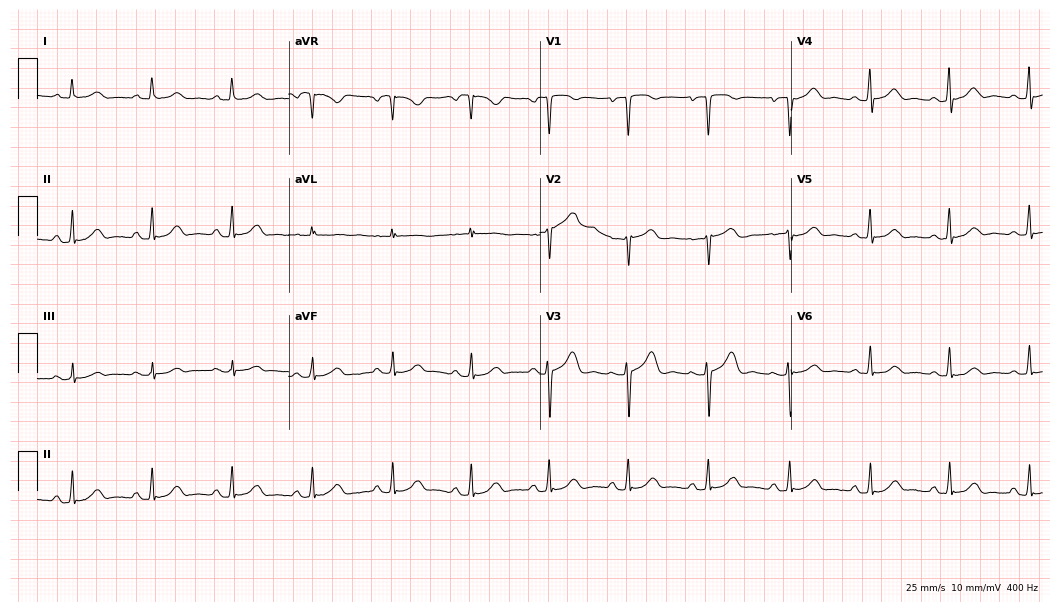
Standard 12-lead ECG recorded from a 60-year-old woman. Read as a normal ECG.